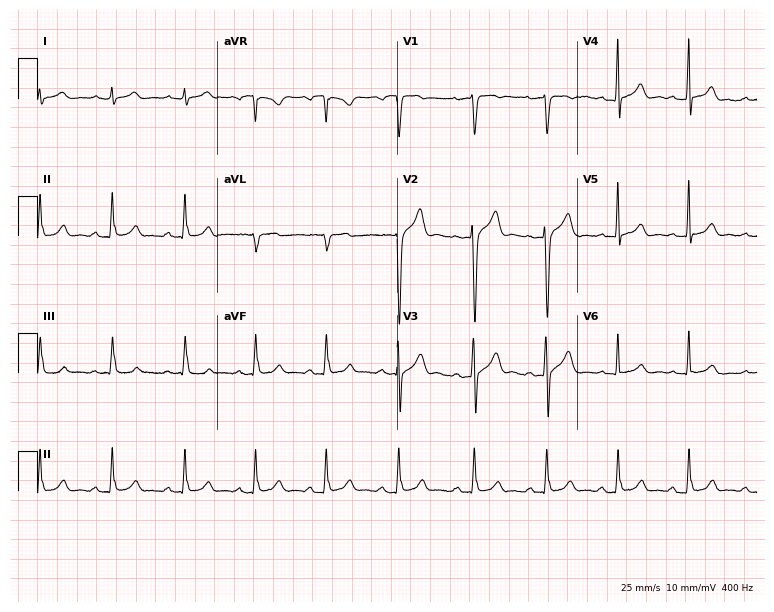
Resting 12-lead electrocardiogram (7.3-second recording at 400 Hz). Patient: a male, 26 years old. Read as a normal ECG.